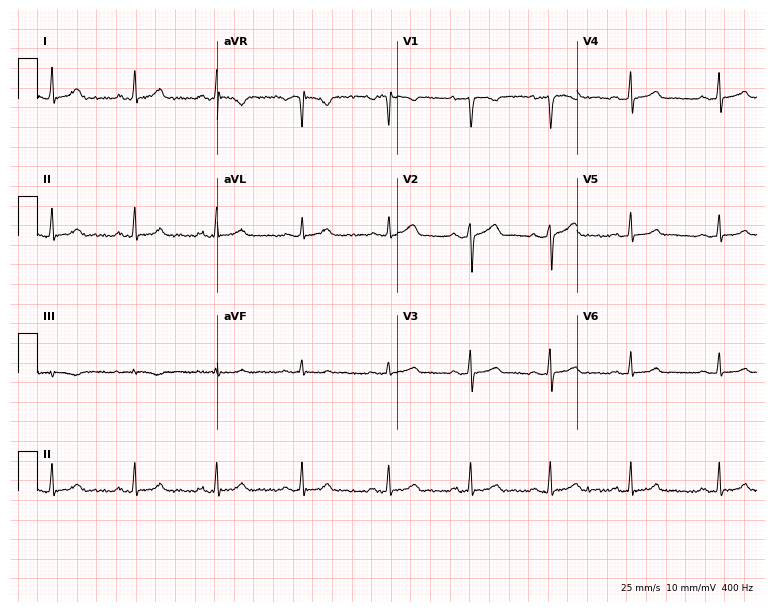
Electrocardiogram (7.3-second recording at 400 Hz), a female patient, 40 years old. Overall reading on record: normal ECG.